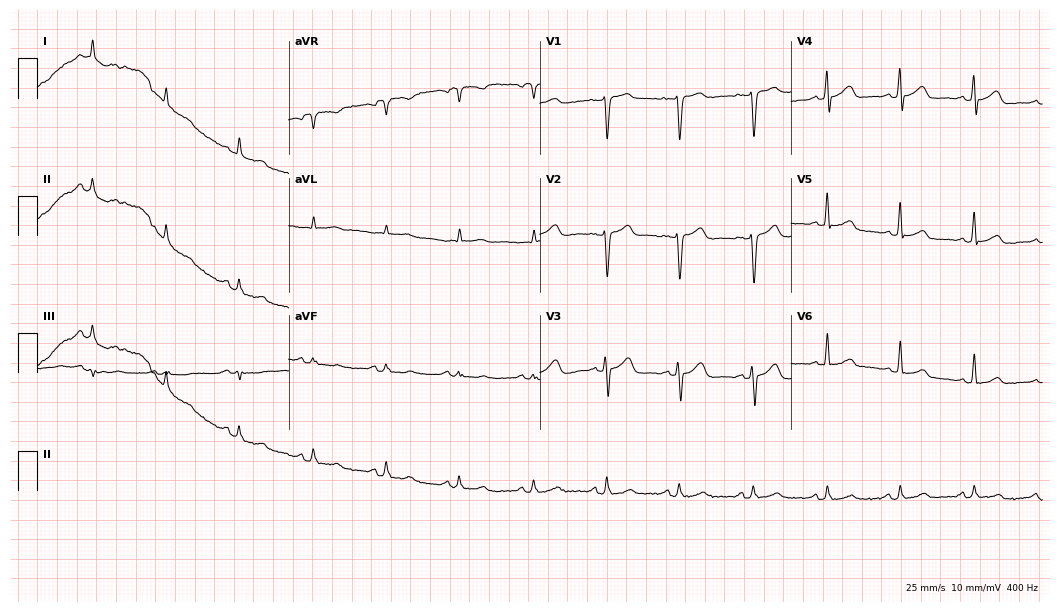
12-lead ECG from a 69-year-old man. Screened for six findings — first-degree AV block, right bundle branch block (RBBB), left bundle branch block (LBBB), sinus bradycardia, atrial fibrillation (AF), sinus tachycardia — none is recorded. Other findings, if any, are not listed.